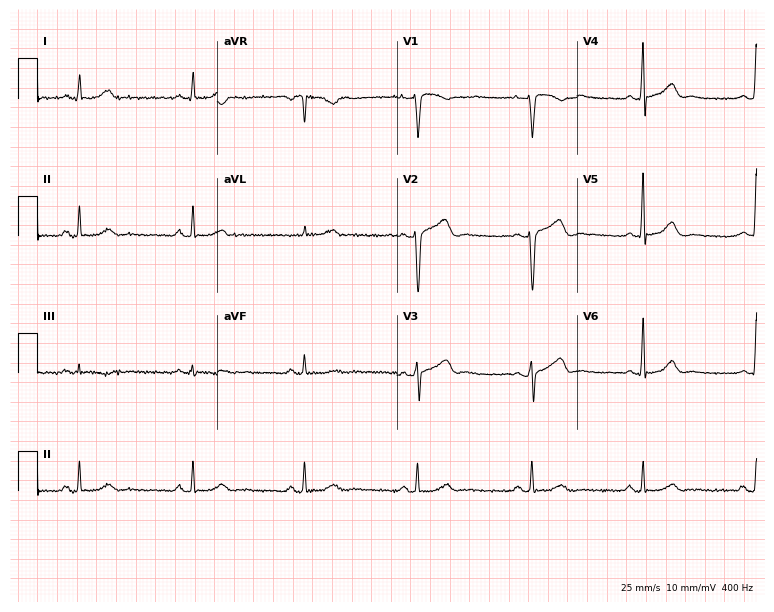
12-lead ECG from a 38-year-old woman. Screened for six findings — first-degree AV block, right bundle branch block (RBBB), left bundle branch block (LBBB), sinus bradycardia, atrial fibrillation (AF), sinus tachycardia — none is recorded.